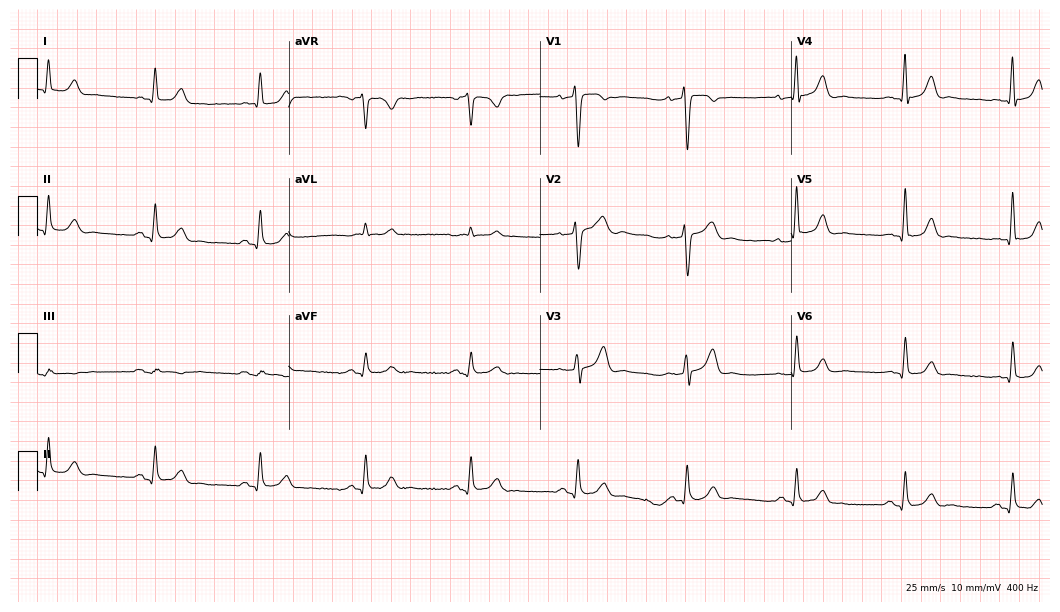
ECG (10.2-second recording at 400 Hz) — a male patient, 60 years old. Screened for six findings — first-degree AV block, right bundle branch block, left bundle branch block, sinus bradycardia, atrial fibrillation, sinus tachycardia — none is recorded.